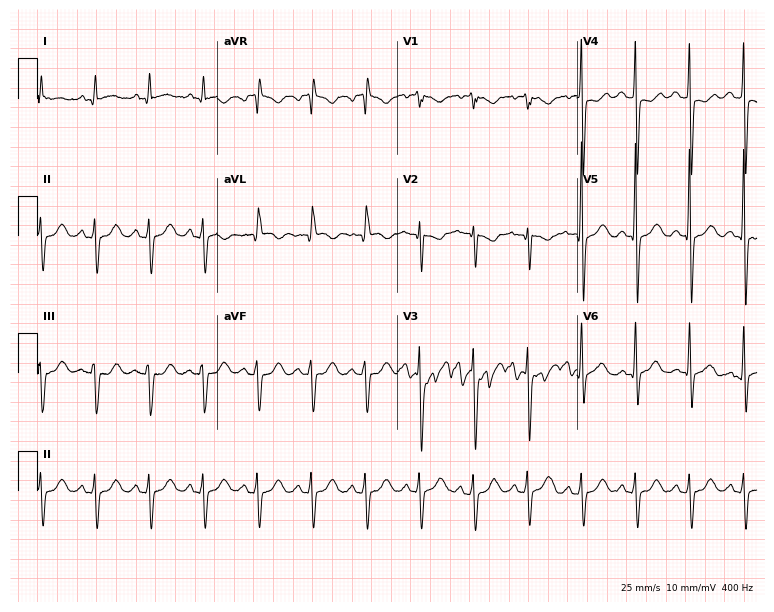
12-lead ECG (7.3-second recording at 400 Hz) from a male patient, 70 years old. Screened for six findings — first-degree AV block, right bundle branch block, left bundle branch block, sinus bradycardia, atrial fibrillation, sinus tachycardia — none is recorded.